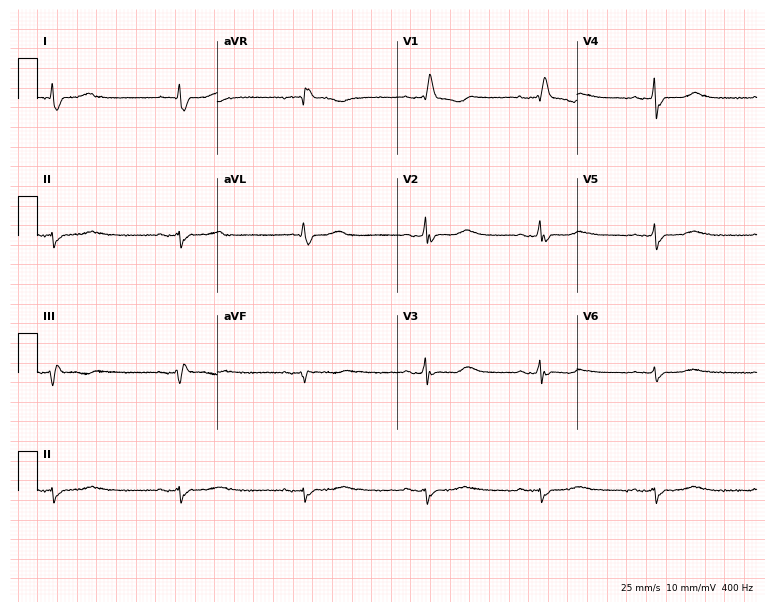
12-lead ECG from a woman, 76 years old. Findings include first-degree AV block, sinus bradycardia (a sinus rate of 50 beats per minute or less).